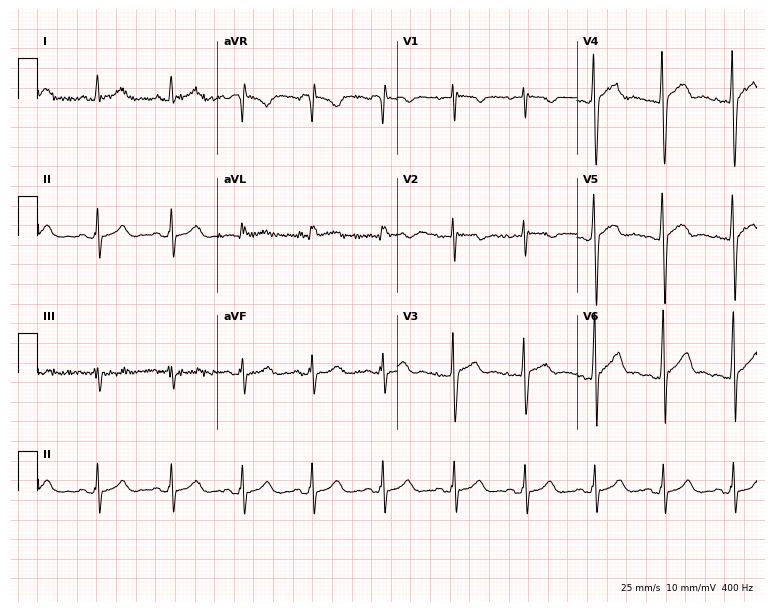
12-lead ECG (7.3-second recording at 400 Hz) from a 26-year-old male patient. Screened for six findings — first-degree AV block, right bundle branch block, left bundle branch block, sinus bradycardia, atrial fibrillation, sinus tachycardia — none is recorded. Findings outside these six are not listed.